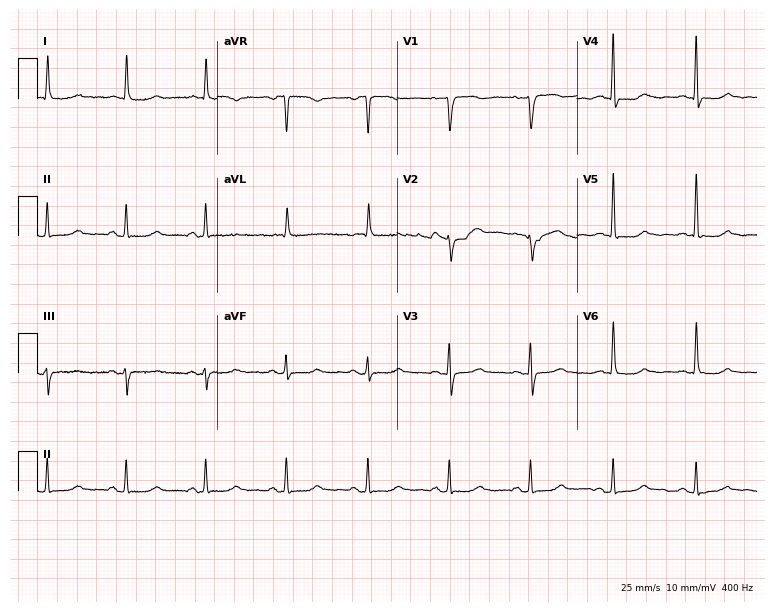
Standard 12-lead ECG recorded from an 84-year-old female patient (7.3-second recording at 400 Hz). None of these six findings is recorded: first-degree AV block, right bundle branch block, left bundle branch block, sinus bradycardia, atrial fibrillation, sinus tachycardia. Findings outside these six are not listed.